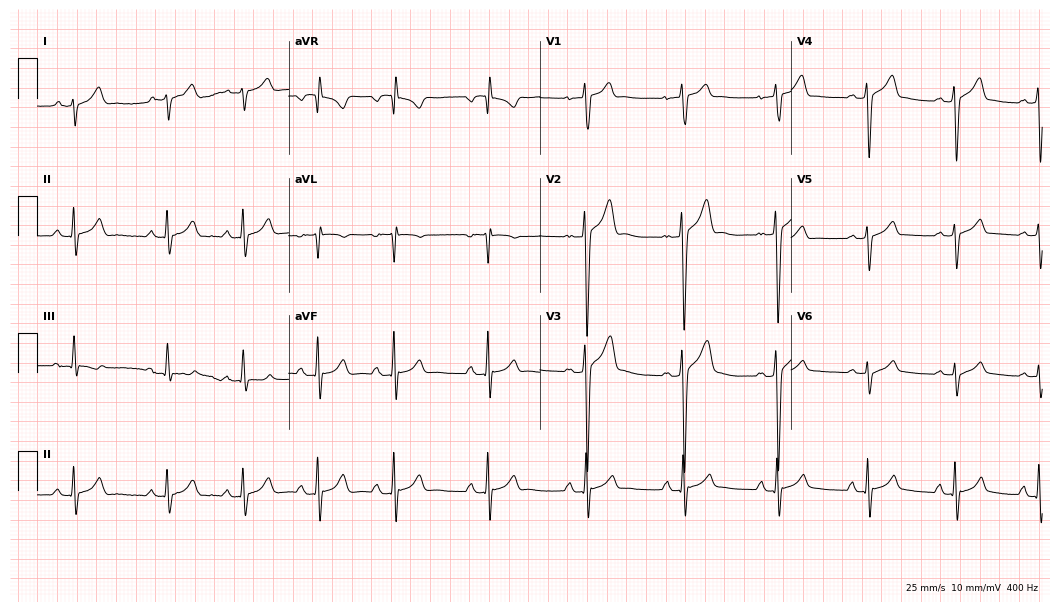
12-lead ECG (10.2-second recording at 400 Hz) from a male patient, 18 years old. Screened for six findings — first-degree AV block, right bundle branch block (RBBB), left bundle branch block (LBBB), sinus bradycardia, atrial fibrillation (AF), sinus tachycardia — none is recorded. Findings outside these six are not listed.